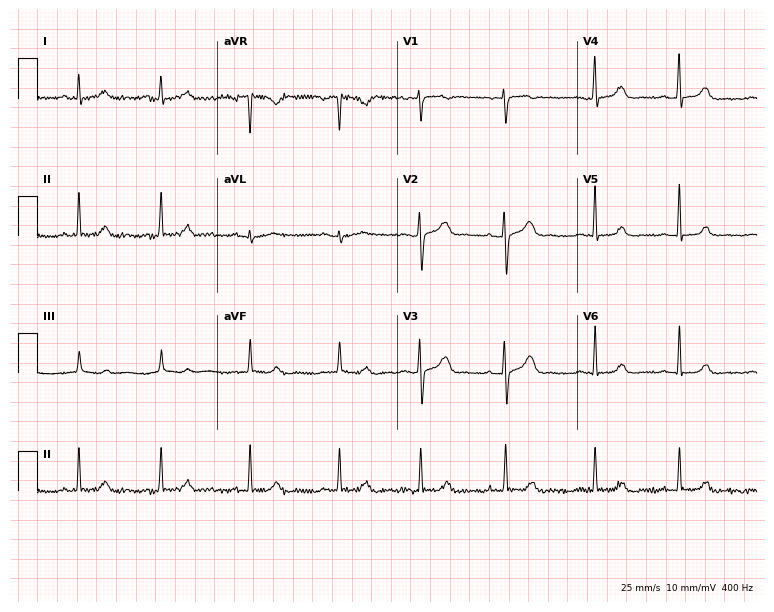
ECG — a 30-year-old female. Screened for six findings — first-degree AV block, right bundle branch block, left bundle branch block, sinus bradycardia, atrial fibrillation, sinus tachycardia — none is recorded.